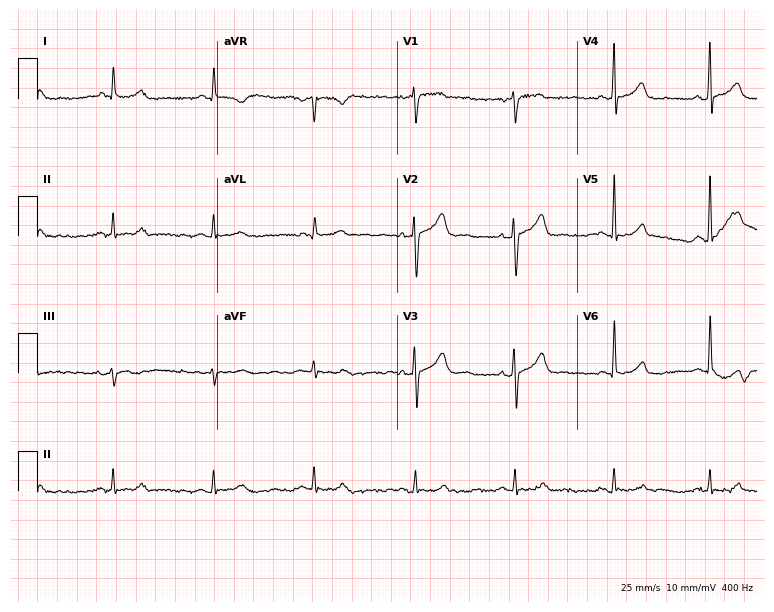
Standard 12-lead ECG recorded from a male, 66 years old (7.3-second recording at 400 Hz). Read as a normal ECG.